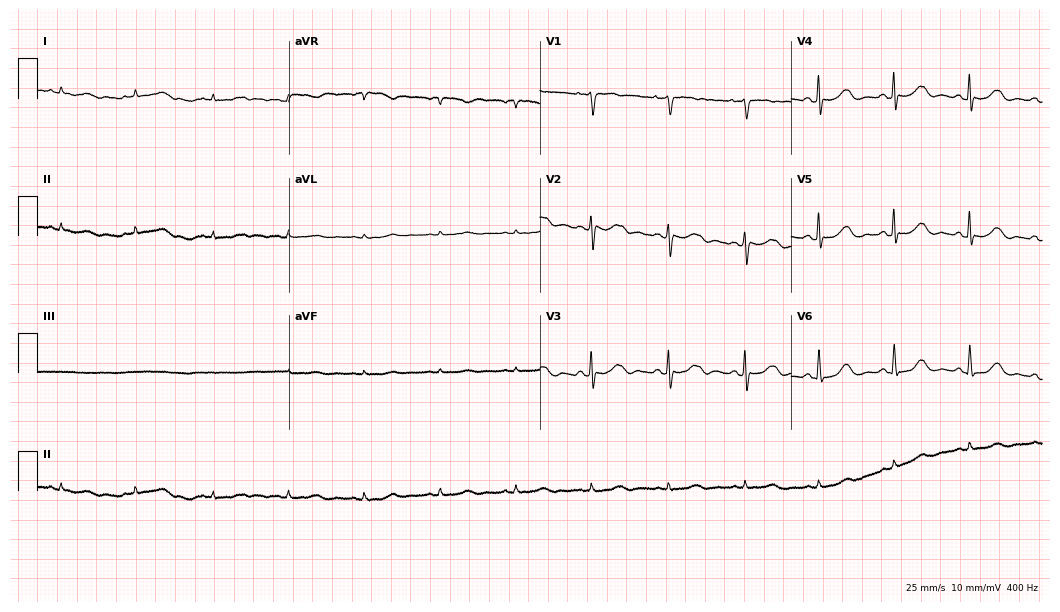
ECG (10.2-second recording at 400 Hz) — a female, 82 years old. Screened for six findings — first-degree AV block, right bundle branch block, left bundle branch block, sinus bradycardia, atrial fibrillation, sinus tachycardia — none is recorded.